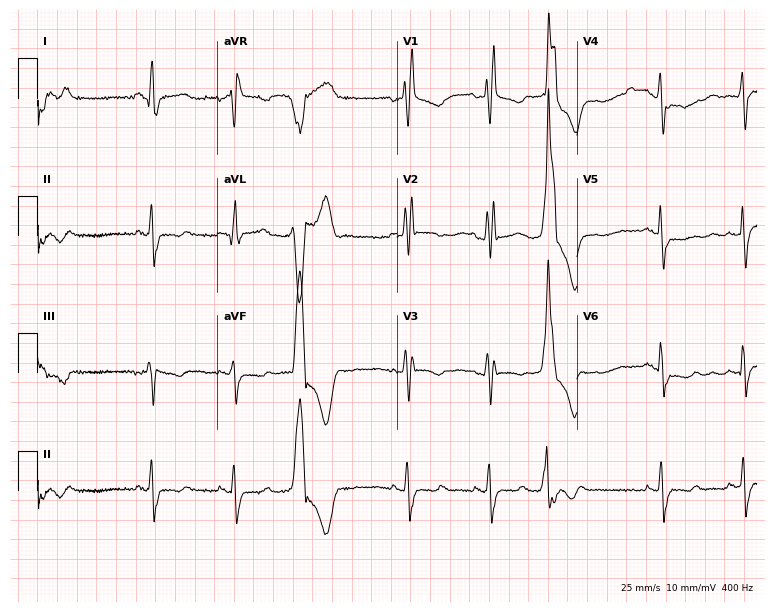
12-lead ECG from a 55-year-old female. Screened for six findings — first-degree AV block, right bundle branch block, left bundle branch block, sinus bradycardia, atrial fibrillation, sinus tachycardia — none is recorded.